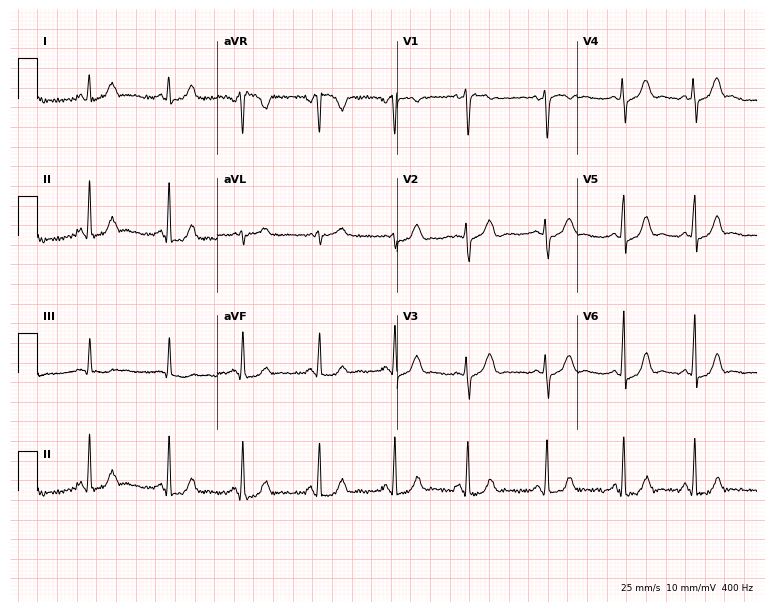
Standard 12-lead ECG recorded from a 28-year-old woman (7.3-second recording at 400 Hz). Read as a normal ECG.